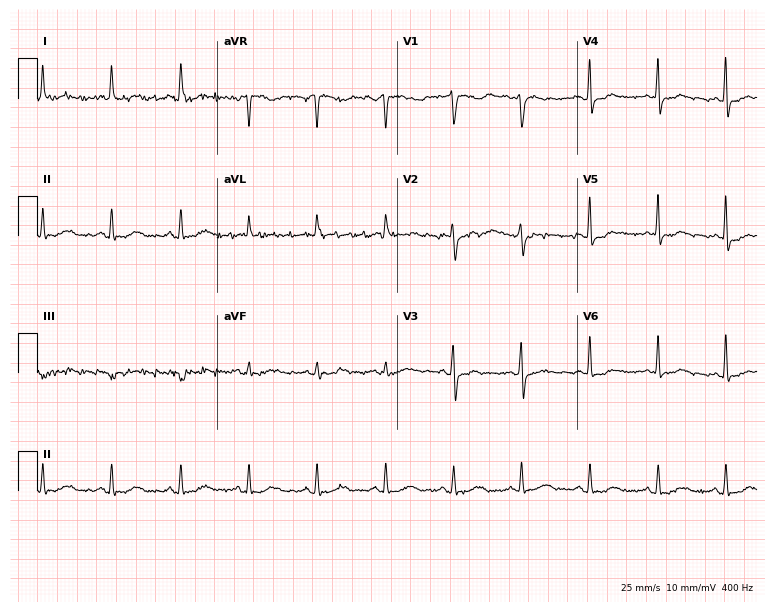
ECG — a woman, 64 years old. Labelled as a normal ECG.